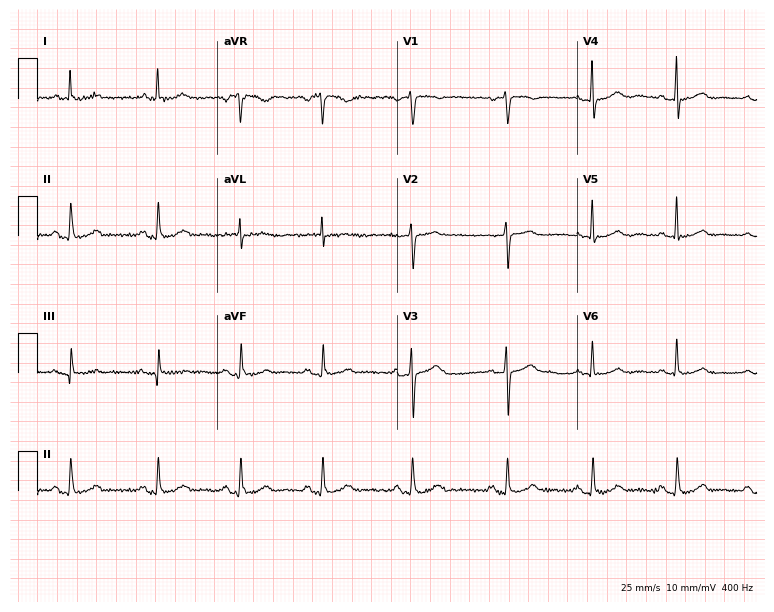
12-lead ECG from a female patient, 47 years old. No first-degree AV block, right bundle branch block (RBBB), left bundle branch block (LBBB), sinus bradycardia, atrial fibrillation (AF) or sinus tachycardia recorded for this tracing.